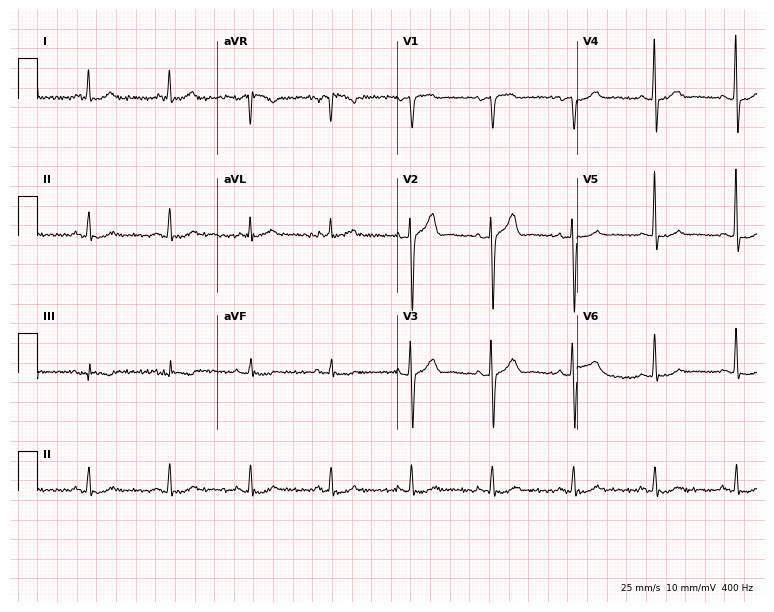
12-lead ECG (7.3-second recording at 400 Hz) from a man, 62 years old. Screened for six findings — first-degree AV block, right bundle branch block (RBBB), left bundle branch block (LBBB), sinus bradycardia, atrial fibrillation (AF), sinus tachycardia — none is recorded. Only these six findings were labelled.